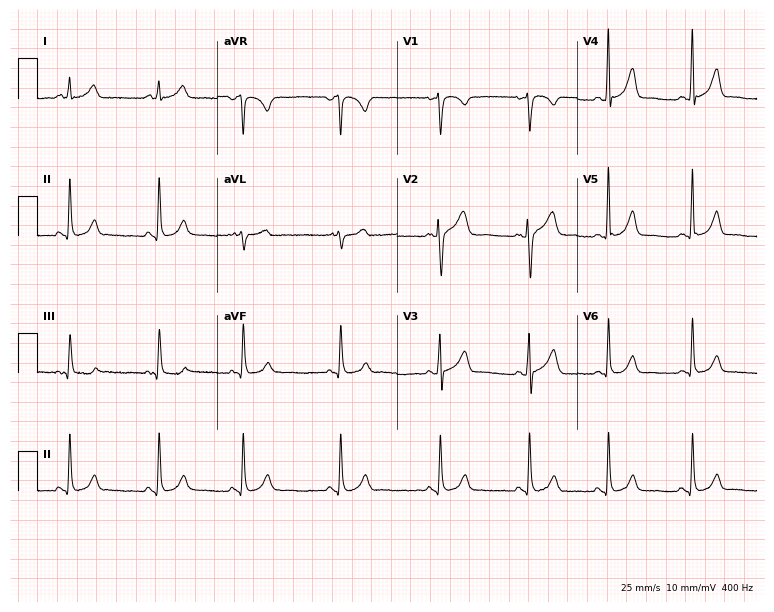
Resting 12-lead electrocardiogram. Patient: a 47-year-old female. Read as a normal ECG.